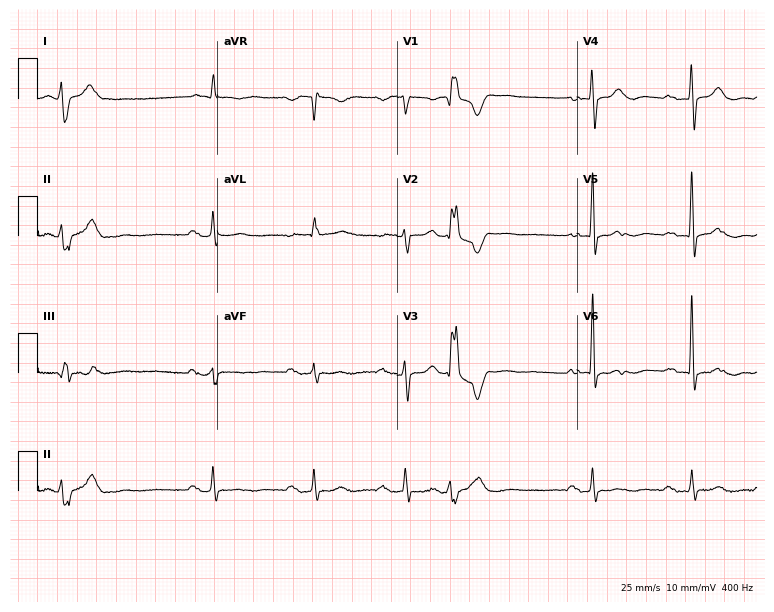
Electrocardiogram, a female patient, 81 years old. Interpretation includes first-degree AV block.